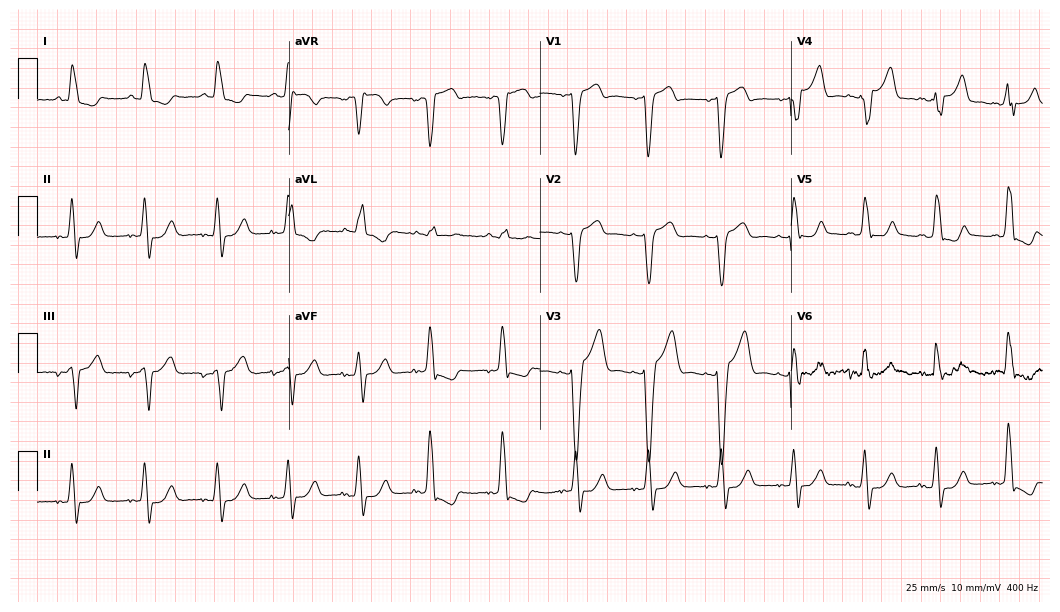
Standard 12-lead ECG recorded from a 79-year-old female (10.2-second recording at 400 Hz). The tracing shows left bundle branch block (LBBB).